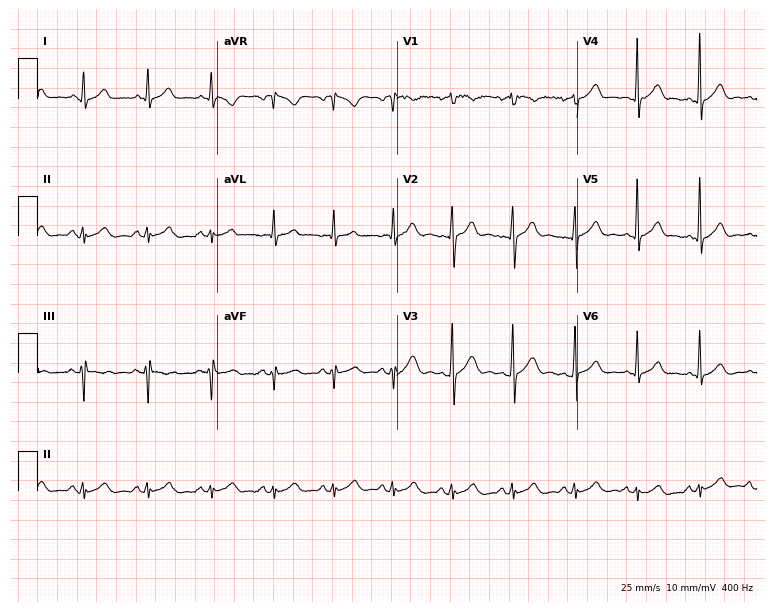
Electrocardiogram, a 30-year-old male patient. Overall reading on record: normal ECG.